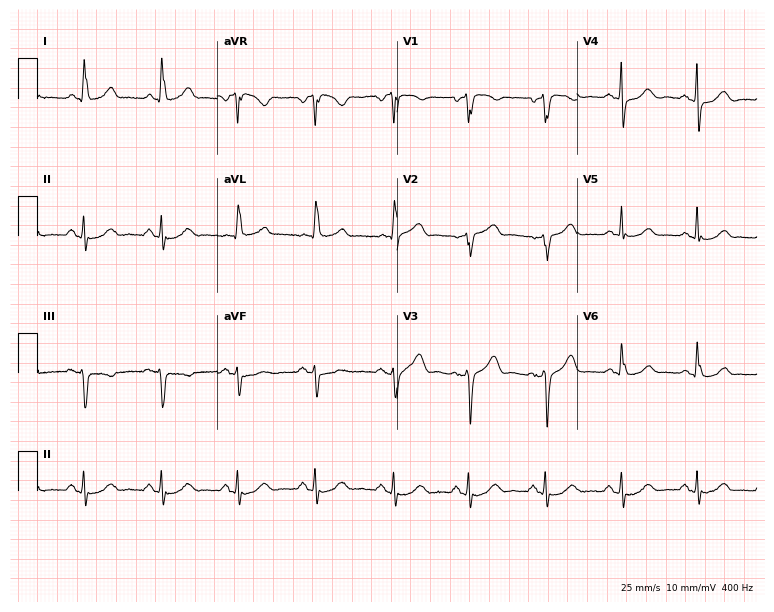
12-lead ECG from a 64-year-old female patient. Recorded interpretation: within normal limits.